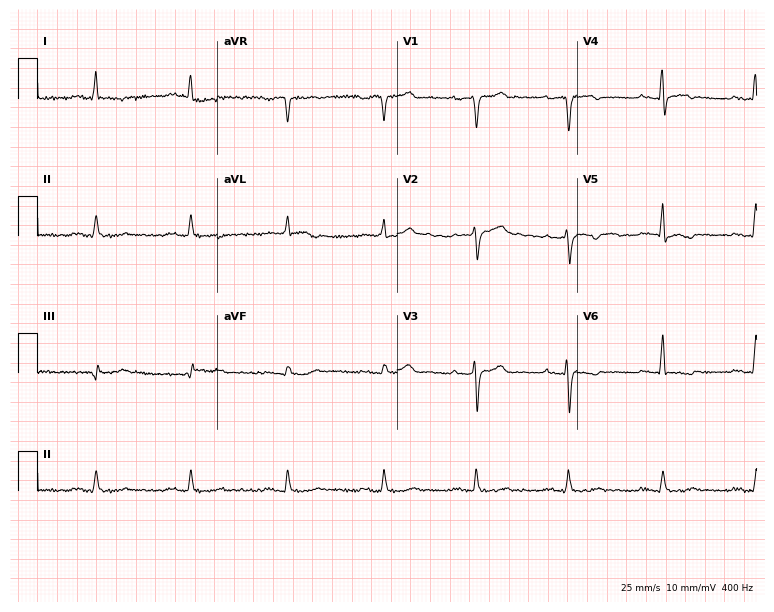
12-lead ECG (7.3-second recording at 400 Hz) from a 63-year-old male patient. Labelled as a normal ECG.